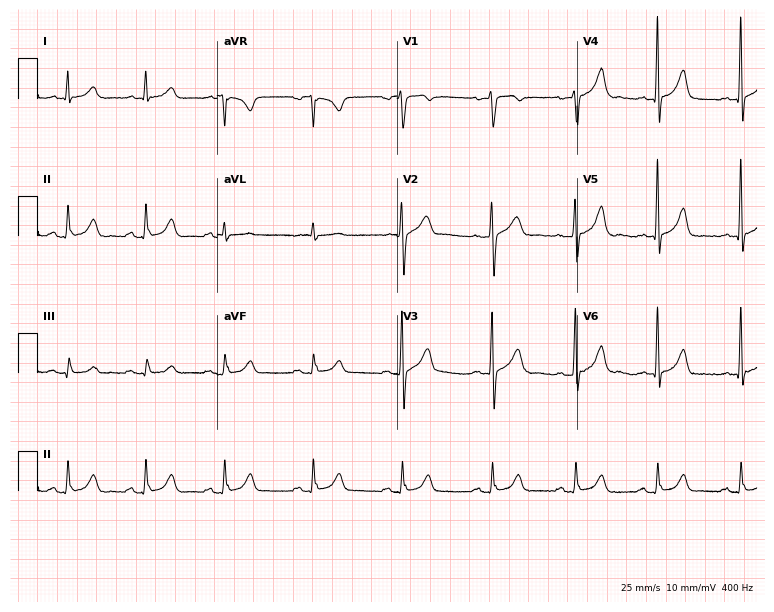
12-lead ECG from a 64-year-old man (7.3-second recording at 400 Hz). No first-degree AV block, right bundle branch block, left bundle branch block, sinus bradycardia, atrial fibrillation or sinus tachycardia recorded for this tracing. Only these six findings were labelled.